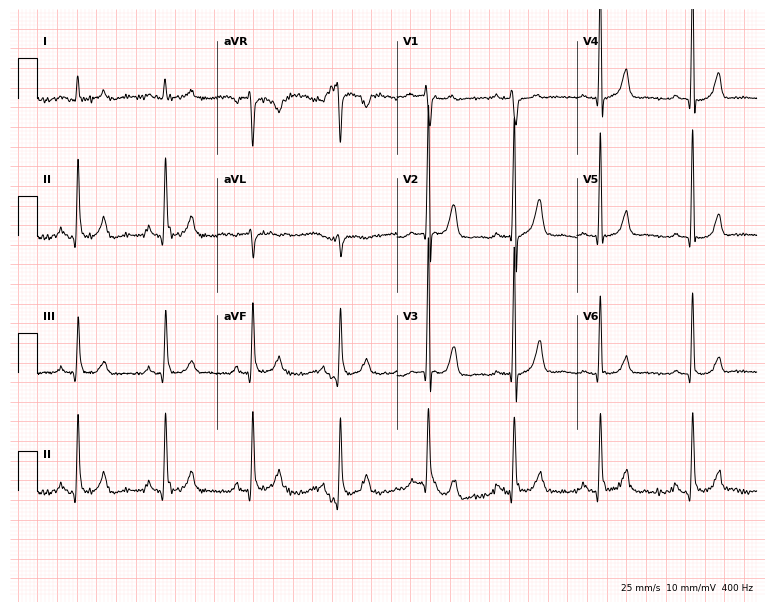
12-lead ECG from a male, 47 years old. Labelled as a normal ECG.